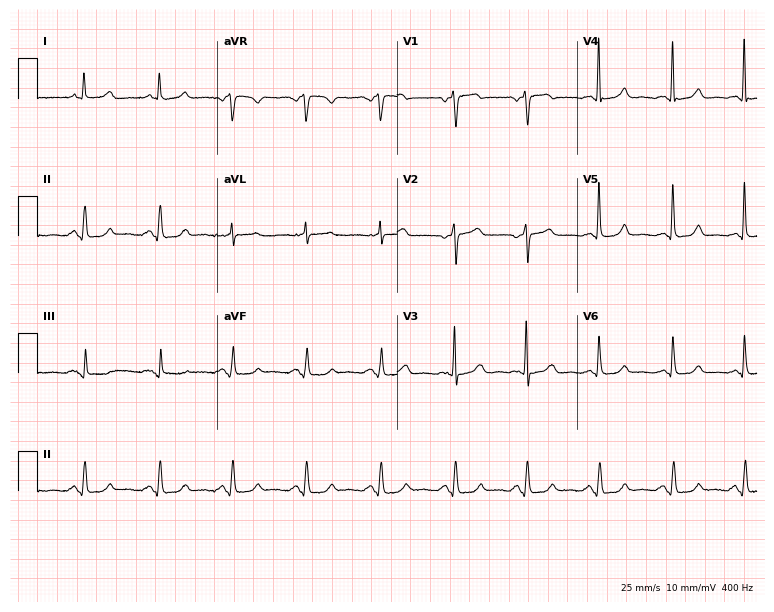
Resting 12-lead electrocardiogram (7.3-second recording at 400 Hz). Patient: a 63-year-old female. None of these six findings is recorded: first-degree AV block, right bundle branch block, left bundle branch block, sinus bradycardia, atrial fibrillation, sinus tachycardia. Findings outside these six are not listed.